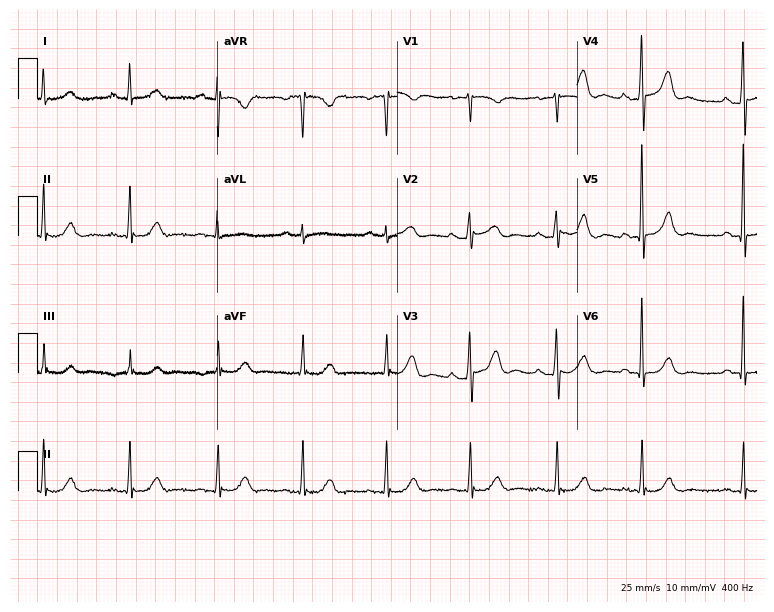
12-lead ECG from a male, 77 years old. Screened for six findings — first-degree AV block, right bundle branch block, left bundle branch block, sinus bradycardia, atrial fibrillation, sinus tachycardia — none is recorded. Findings outside these six are not listed.